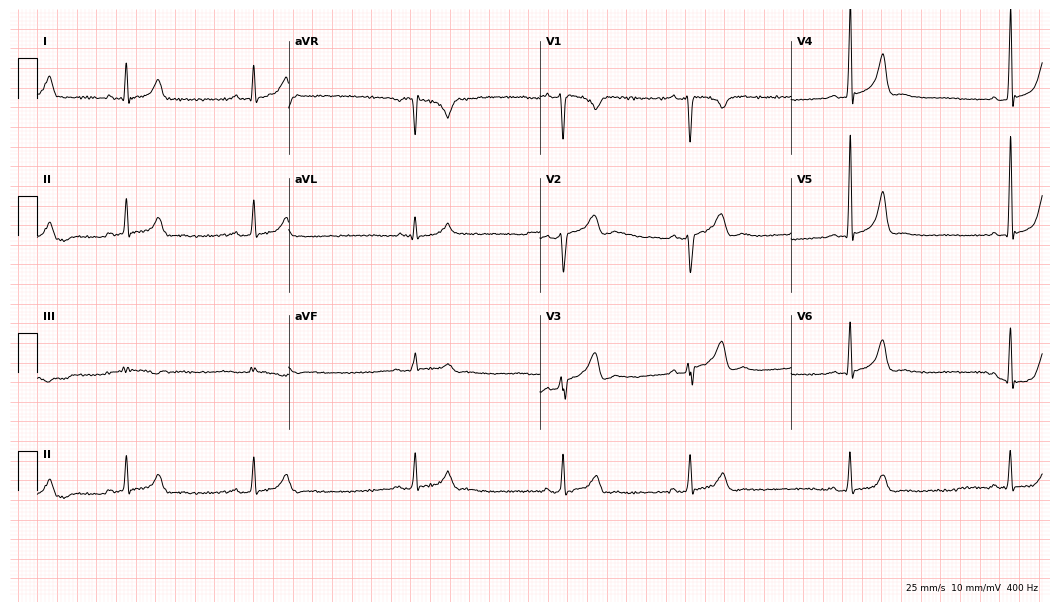
12-lead ECG (10.2-second recording at 400 Hz) from a male patient, 34 years old. Findings include sinus bradycardia (a sinus rate of 50 beats per minute or less).